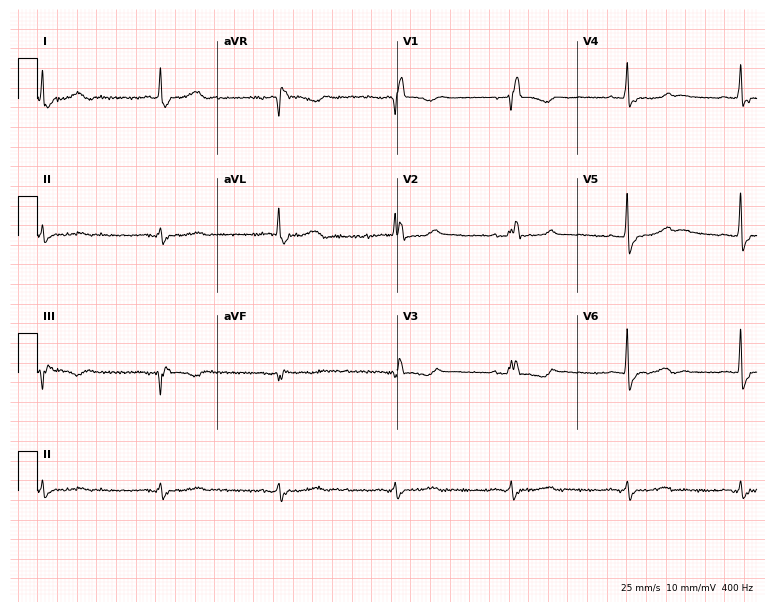
ECG (7.3-second recording at 400 Hz) — a man, 72 years old. Findings include right bundle branch block.